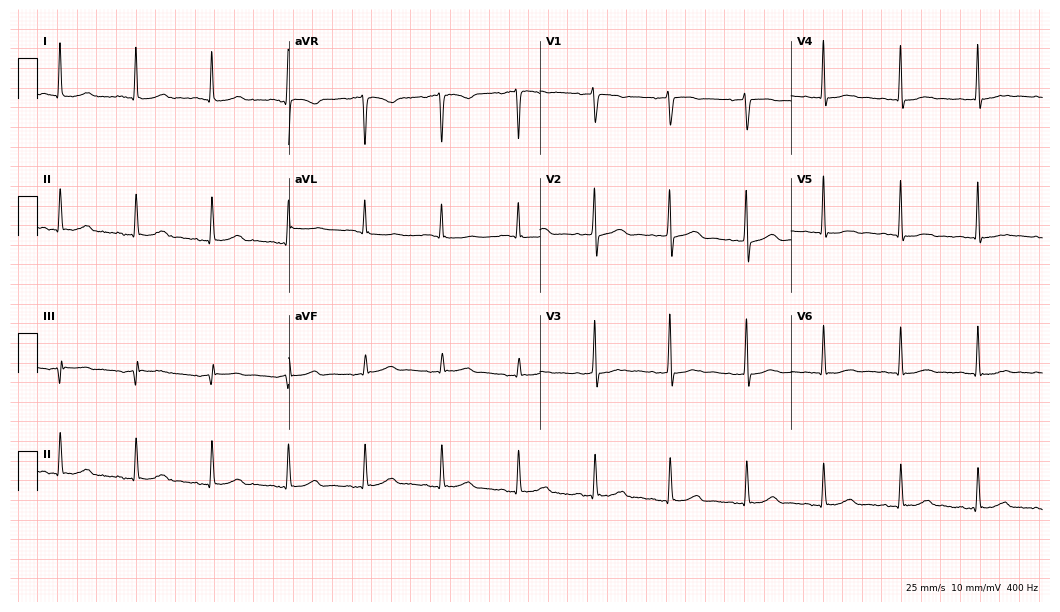
12-lead ECG from an 83-year-old female patient. Screened for six findings — first-degree AV block, right bundle branch block, left bundle branch block, sinus bradycardia, atrial fibrillation, sinus tachycardia — none is recorded. Only these six findings were labelled.